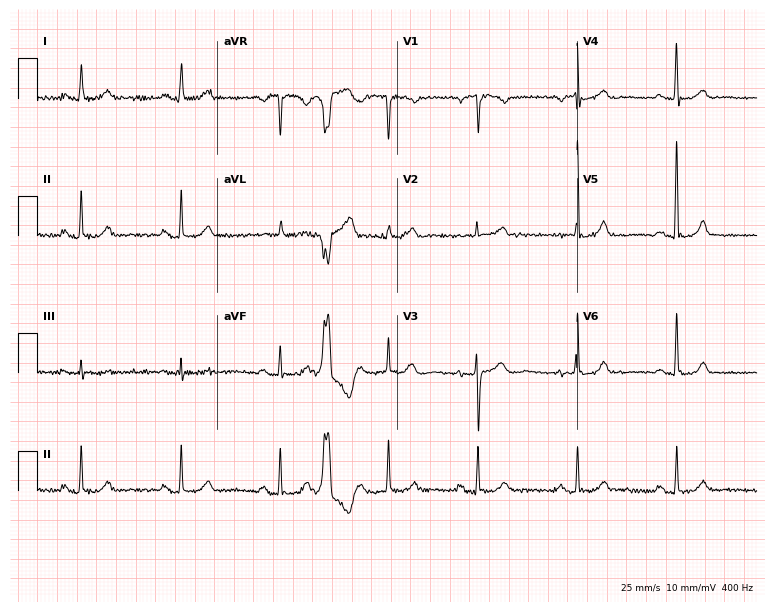
12-lead ECG from a woman, 67 years old. No first-degree AV block, right bundle branch block (RBBB), left bundle branch block (LBBB), sinus bradycardia, atrial fibrillation (AF) or sinus tachycardia recorded for this tracing.